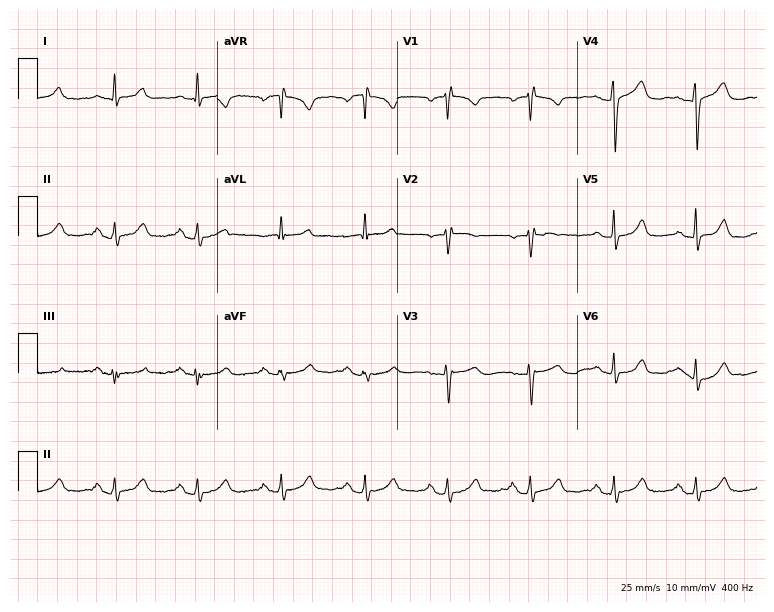
Resting 12-lead electrocardiogram (7.3-second recording at 400 Hz). Patient: a female, 63 years old. None of these six findings is recorded: first-degree AV block, right bundle branch block, left bundle branch block, sinus bradycardia, atrial fibrillation, sinus tachycardia. Findings outside these six are not listed.